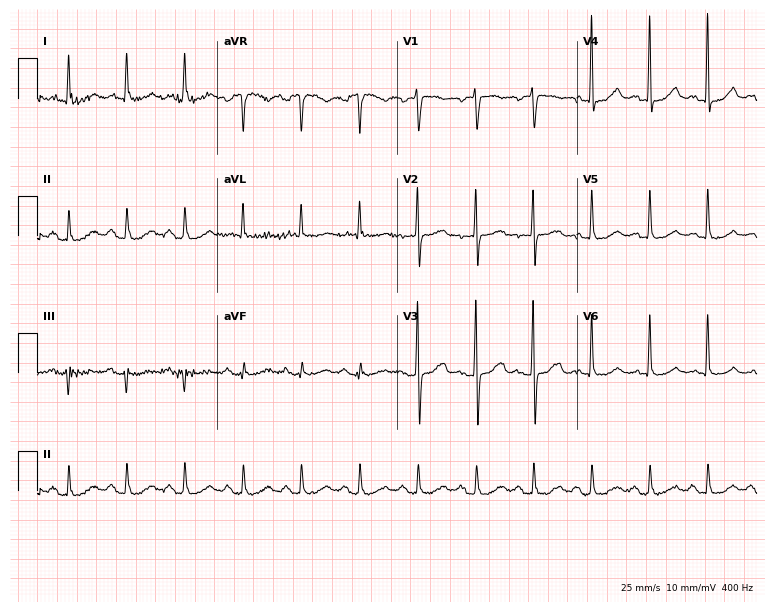
ECG — a 76-year-old woman. Screened for six findings — first-degree AV block, right bundle branch block, left bundle branch block, sinus bradycardia, atrial fibrillation, sinus tachycardia — none is recorded. Other findings, if any, are not listed.